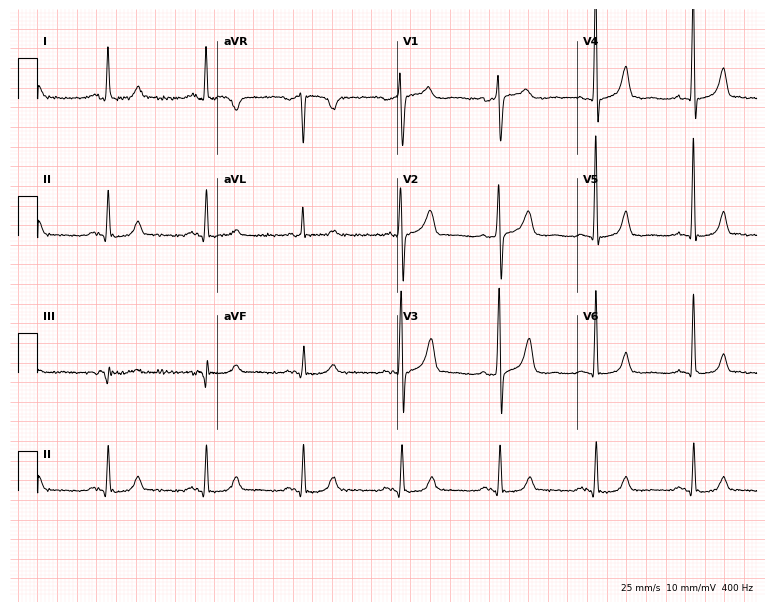
Electrocardiogram, a female patient, 42 years old. Overall reading on record: normal ECG.